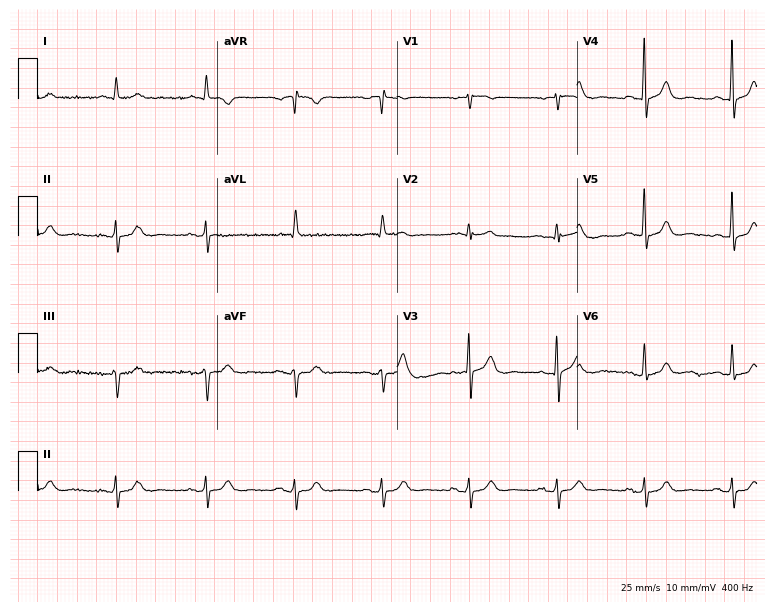
Resting 12-lead electrocardiogram (7.3-second recording at 400 Hz). Patient: a male, 77 years old. None of these six findings is recorded: first-degree AV block, right bundle branch block, left bundle branch block, sinus bradycardia, atrial fibrillation, sinus tachycardia. Other findings, if any, are not listed.